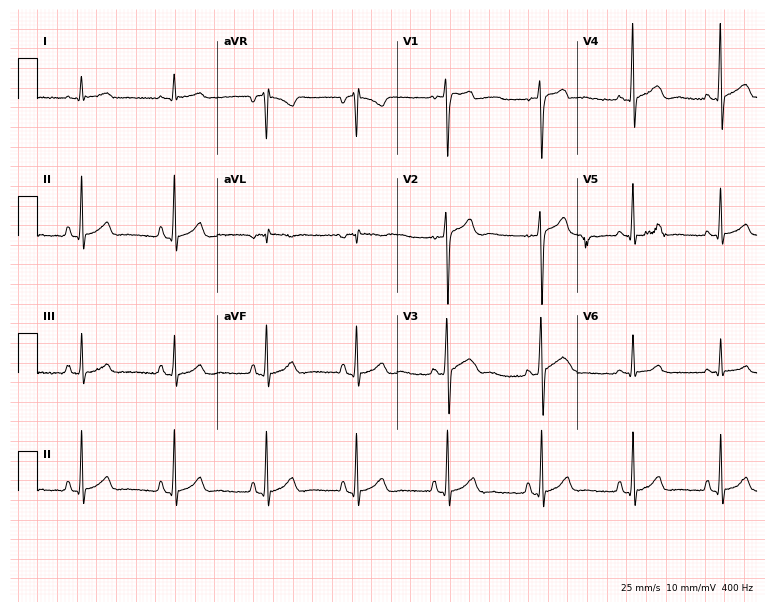
12-lead ECG from a man, 18 years old. Recorded interpretation: within normal limits.